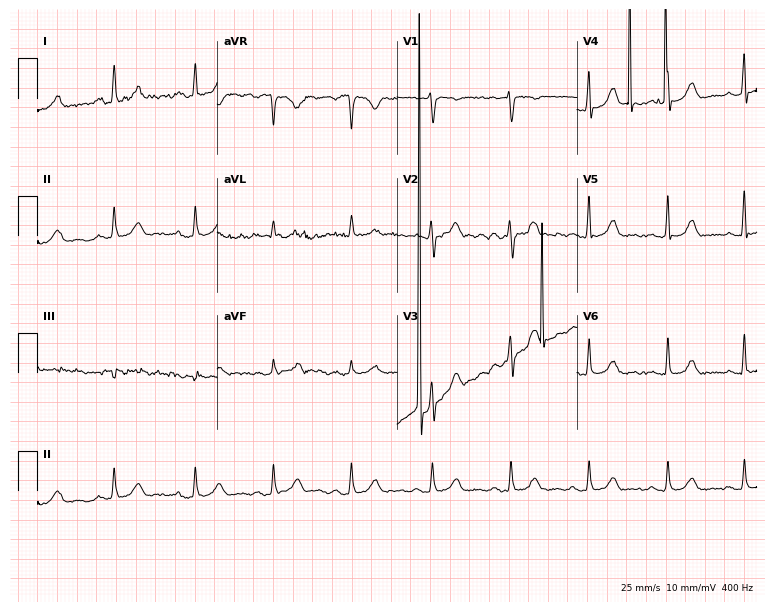
12-lead ECG from a 42-year-old female. No first-degree AV block, right bundle branch block (RBBB), left bundle branch block (LBBB), sinus bradycardia, atrial fibrillation (AF) or sinus tachycardia recorded for this tracing. Findings outside these six are not listed.